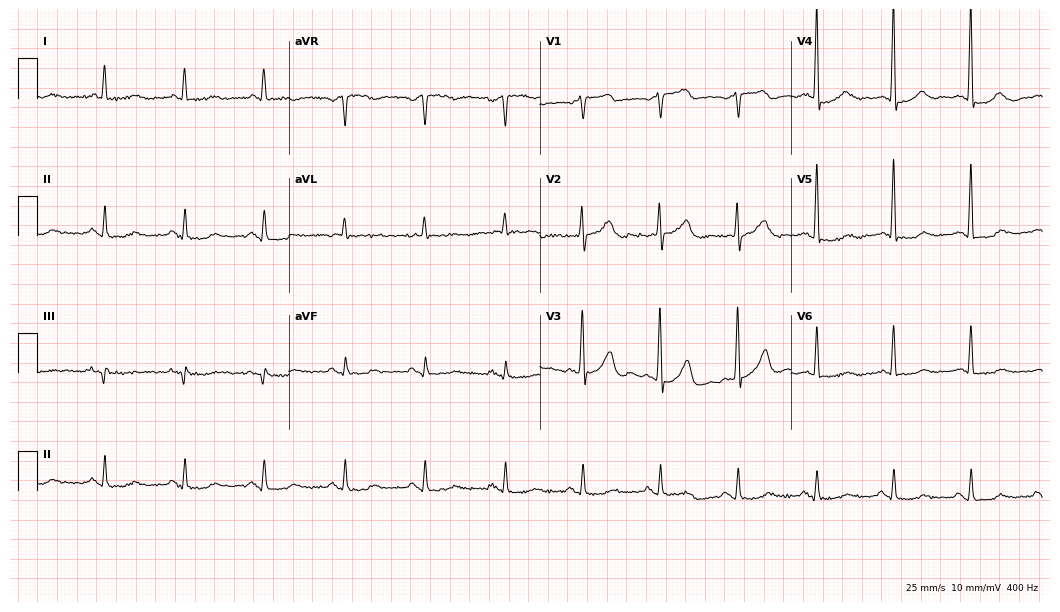
ECG — a male, 80 years old. Labelled as a normal ECG.